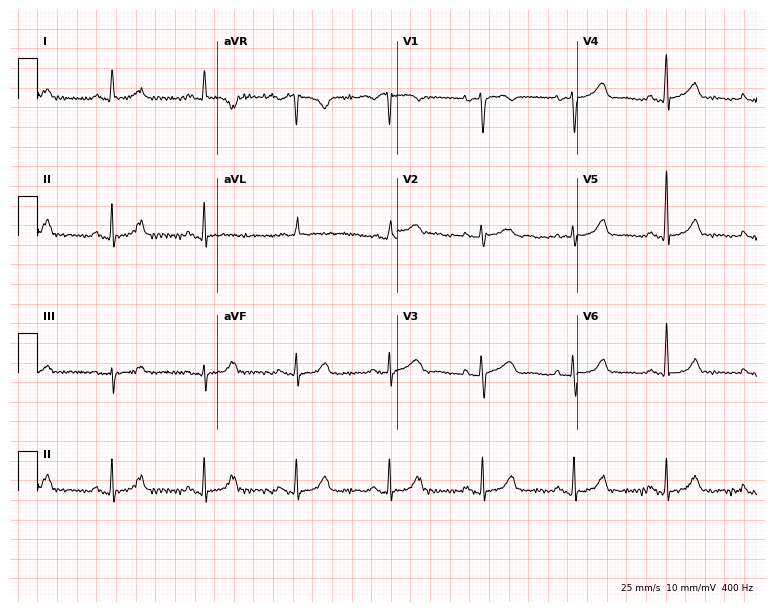
Resting 12-lead electrocardiogram. Patient: a female, 68 years old. None of these six findings is recorded: first-degree AV block, right bundle branch block, left bundle branch block, sinus bradycardia, atrial fibrillation, sinus tachycardia. Only these six findings were labelled.